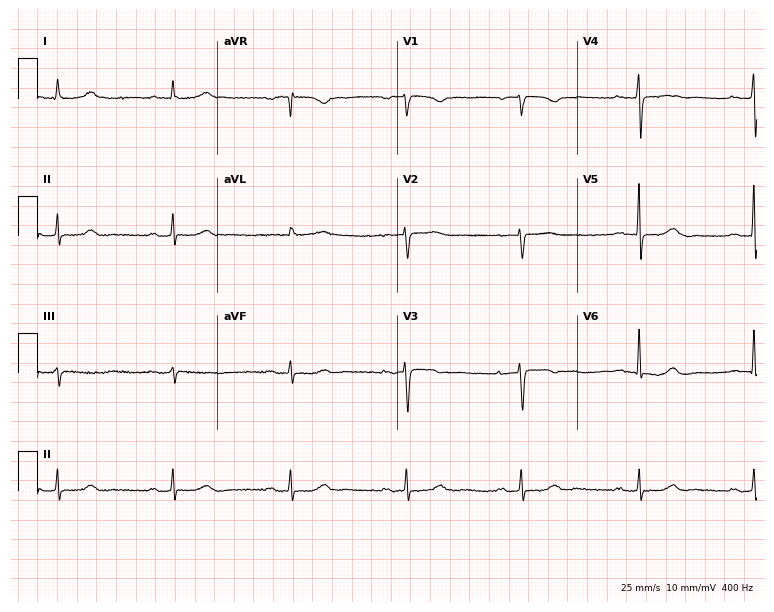
12-lead ECG from a female patient, 81 years old. Findings include first-degree AV block.